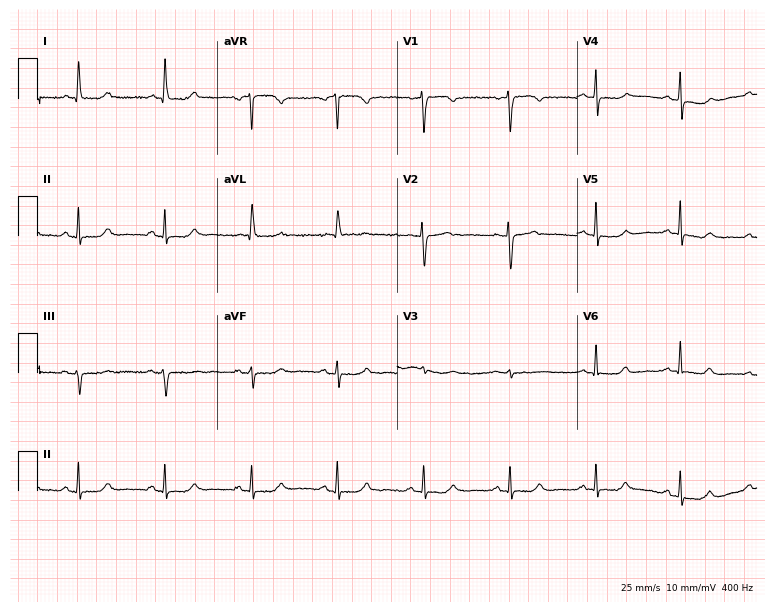
12-lead ECG from a woman, 80 years old. No first-degree AV block, right bundle branch block (RBBB), left bundle branch block (LBBB), sinus bradycardia, atrial fibrillation (AF) or sinus tachycardia recorded for this tracing. Only these six findings were labelled.